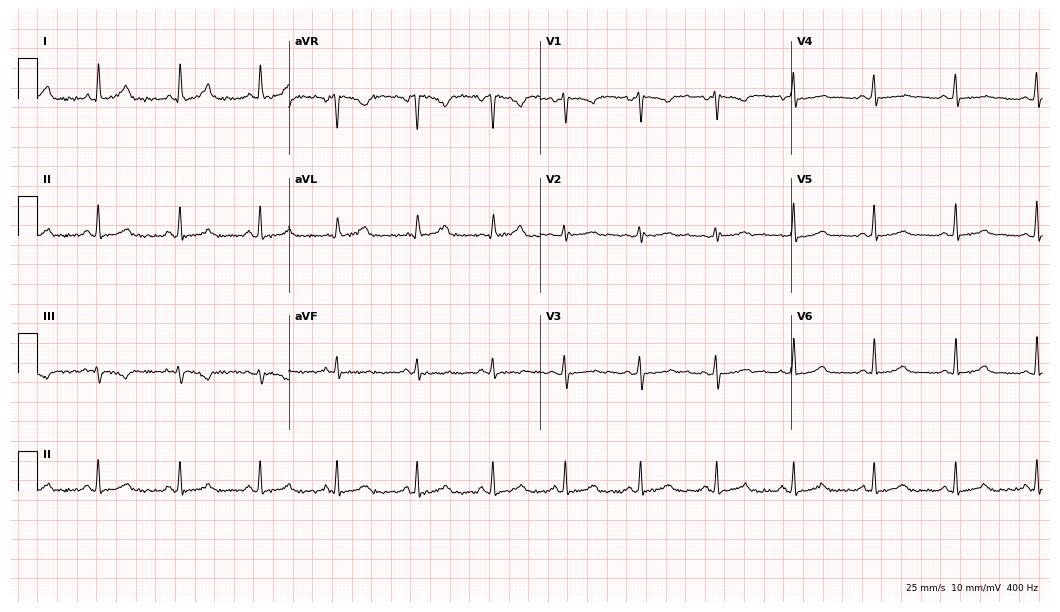
12-lead ECG (10.2-second recording at 400 Hz) from a woman, 37 years old. Labelled as a normal ECG.